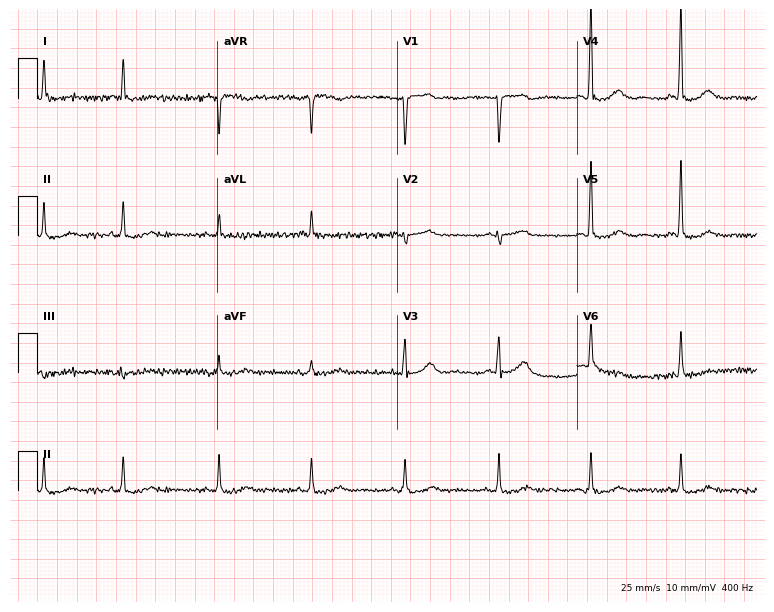
12-lead ECG from a 76-year-old man. Screened for six findings — first-degree AV block, right bundle branch block, left bundle branch block, sinus bradycardia, atrial fibrillation, sinus tachycardia — none is recorded.